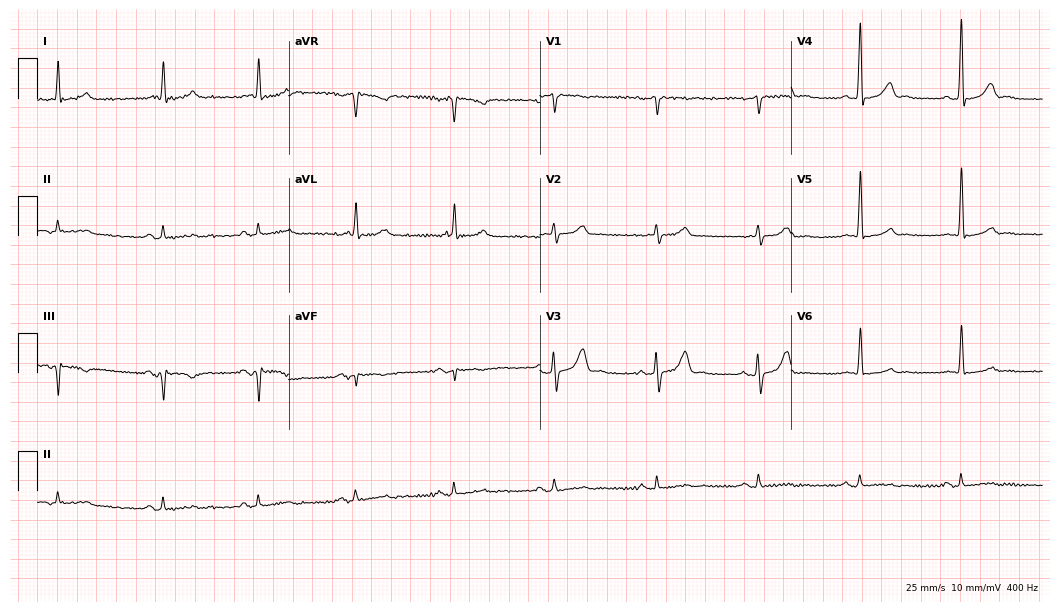
Standard 12-lead ECG recorded from a male, 74 years old (10.2-second recording at 400 Hz). None of these six findings is recorded: first-degree AV block, right bundle branch block (RBBB), left bundle branch block (LBBB), sinus bradycardia, atrial fibrillation (AF), sinus tachycardia. Other findings, if any, are not listed.